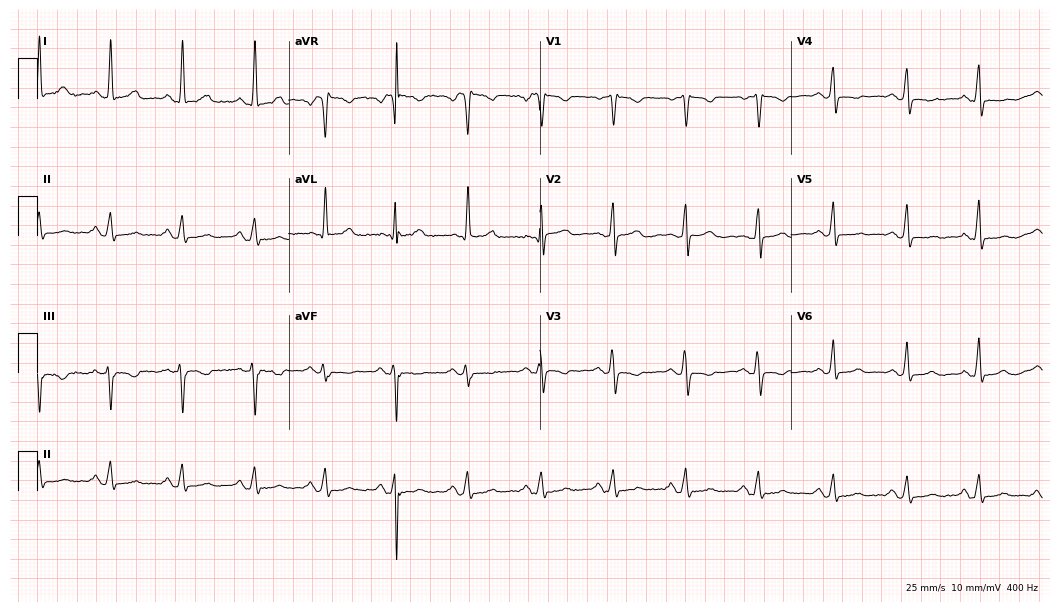
12-lead ECG from a 61-year-old female patient. Screened for six findings — first-degree AV block, right bundle branch block, left bundle branch block, sinus bradycardia, atrial fibrillation, sinus tachycardia — none is recorded.